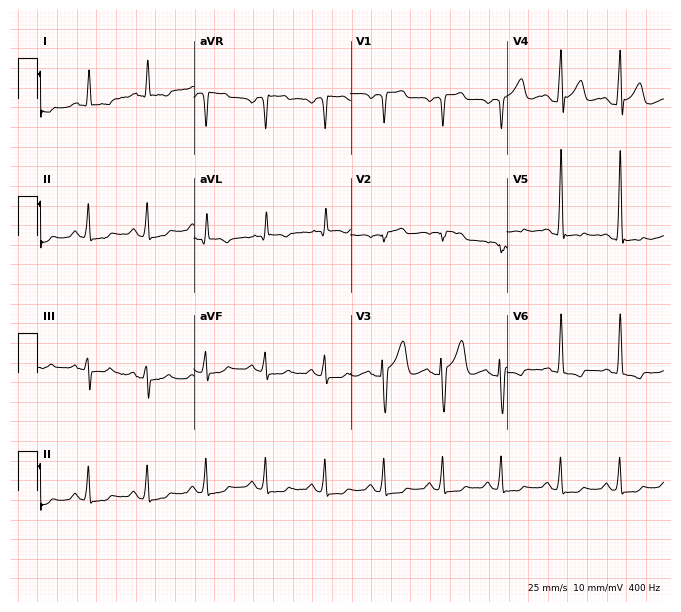
ECG — a man, 69 years old. Screened for six findings — first-degree AV block, right bundle branch block, left bundle branch block, sinus bradycardia, atrial fibrillation, sinus tachycardia — none is recorded. Other findings, if any, are not listed.